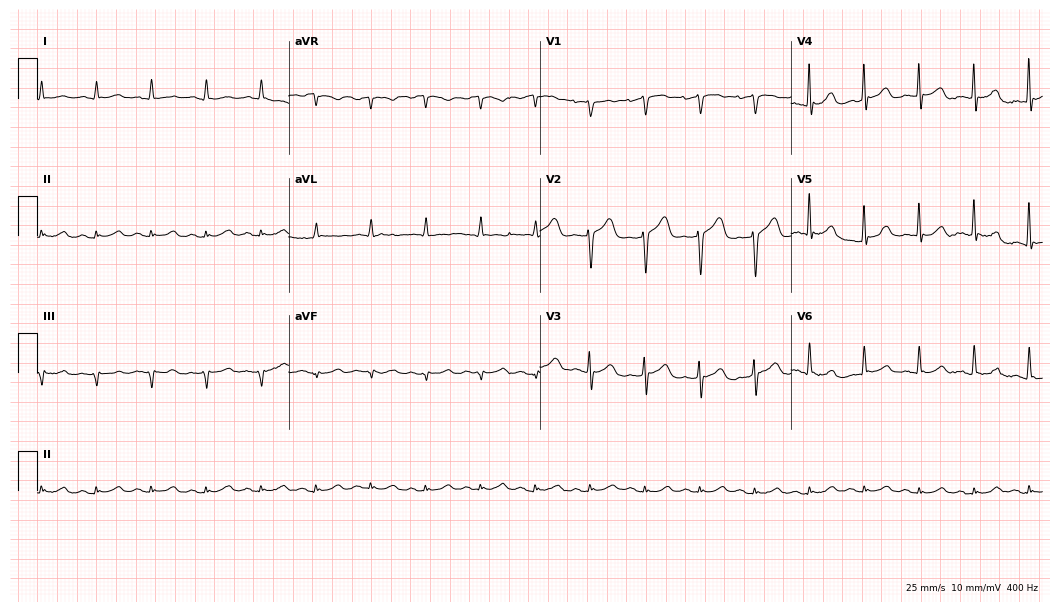
12-lead ECG (10.2-second recording at 400 Hz) from a 79-year-old male patient. Findings include sinus tachycardia (a sinus rate of 100 beats per minute or more).